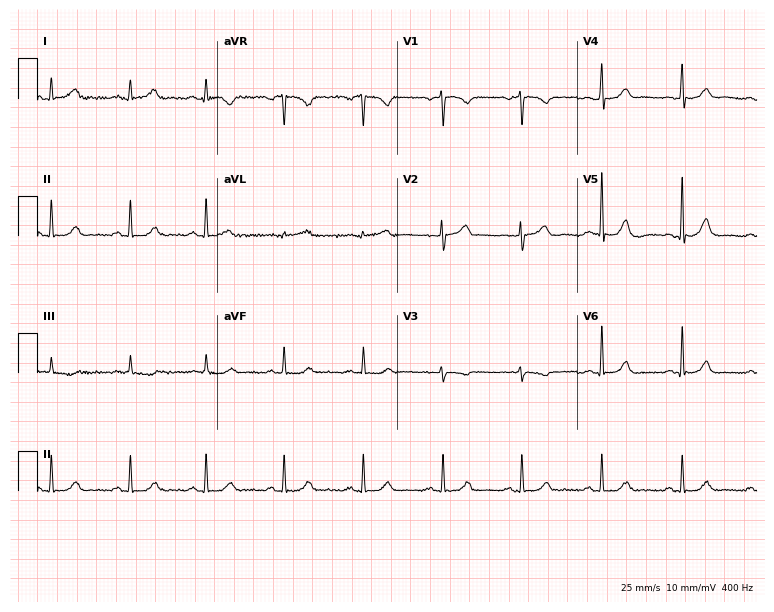
Electrocardiogram, a 39-year-old female. Overall reading on record: normal ECG.